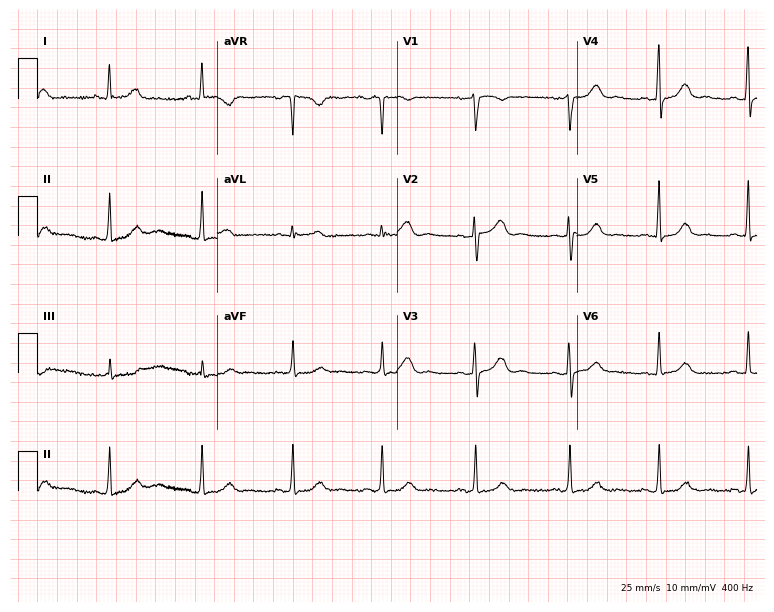
12-lead ECG (7.3-second recording at 400 Hz) from a female, 44 years old. Screened for six findings — first-degree AV block, right bundle branch block, left bundle branch block, sinus bradycardia, atrial fibrillation, sinus tachycardia — none is recorded. Findings outside these six are not listed.